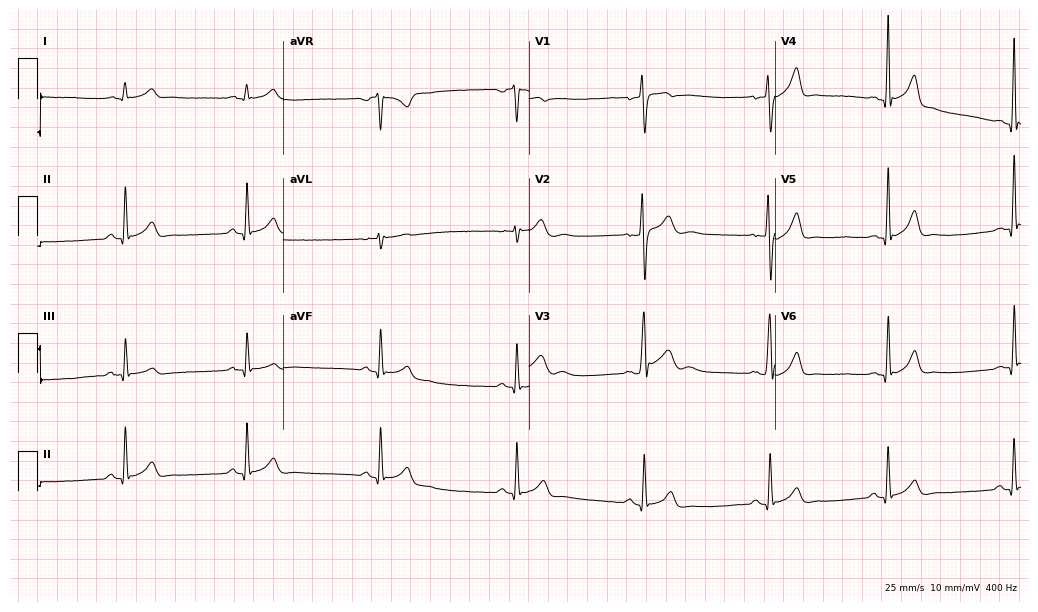
12-lead ECG from a male patient, 20 years old (10-second recording at 400 Hz). Recorded interpretation: within normal limits.